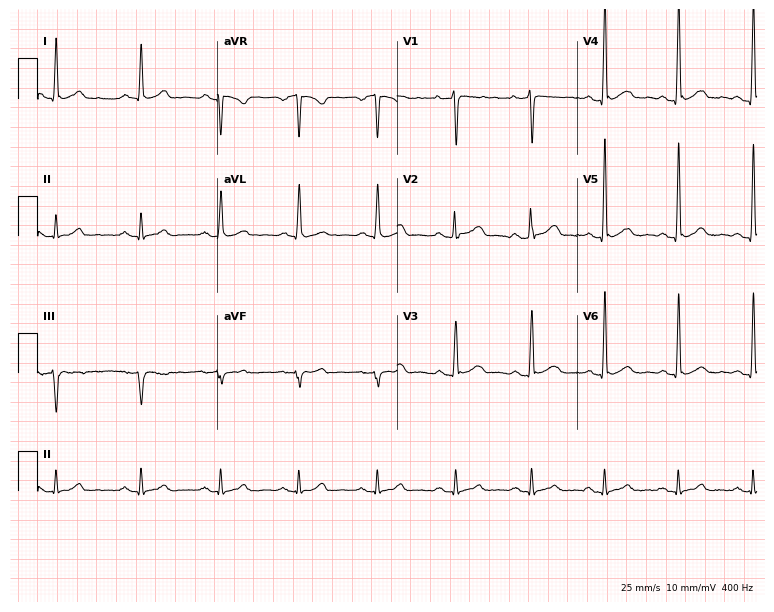
Resting 12-lead electrocardiogram. Patient: a 40-year-old male. Read as a normal ECG.